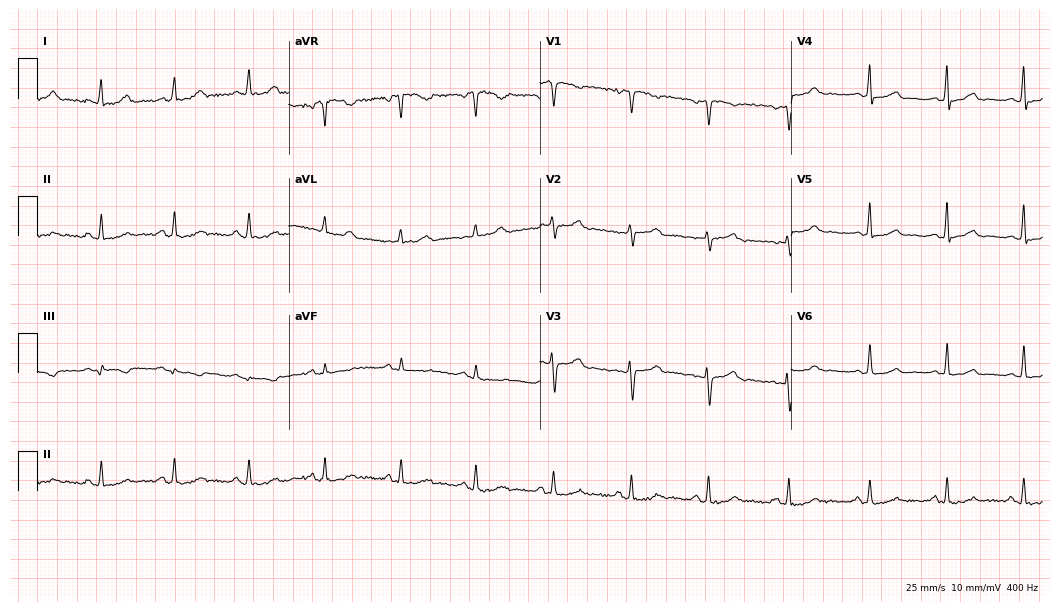
Resting 12-lead electrocardiogram. Patient: a 40-year-old woman. Read as a normal ECG.